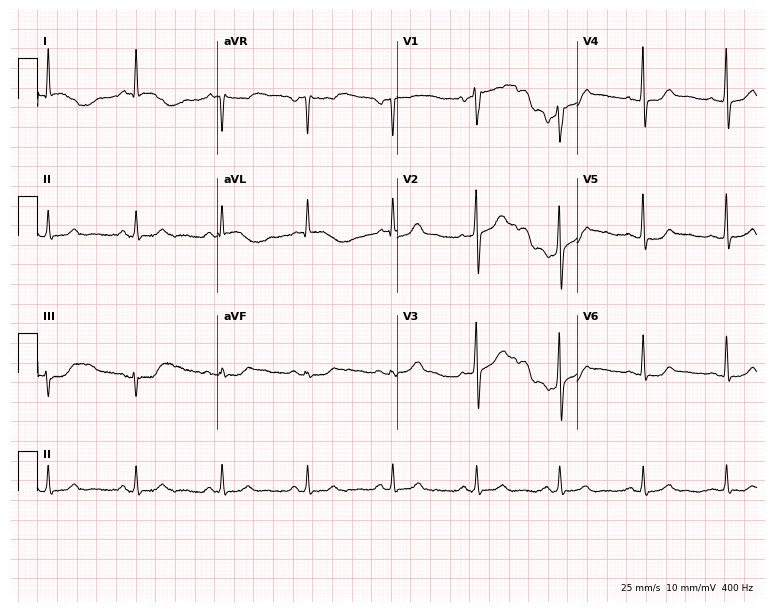
ECG (7.3-second recording at 400 Hz) — a man, 62 years old. Screened for six findings — first-degree AV block, right bundle branch block, left bundle branch block, sinus bradycardia, atrial fibrillation, sinus tachycardia — none is recorded. Other findings, if any, are not listed.